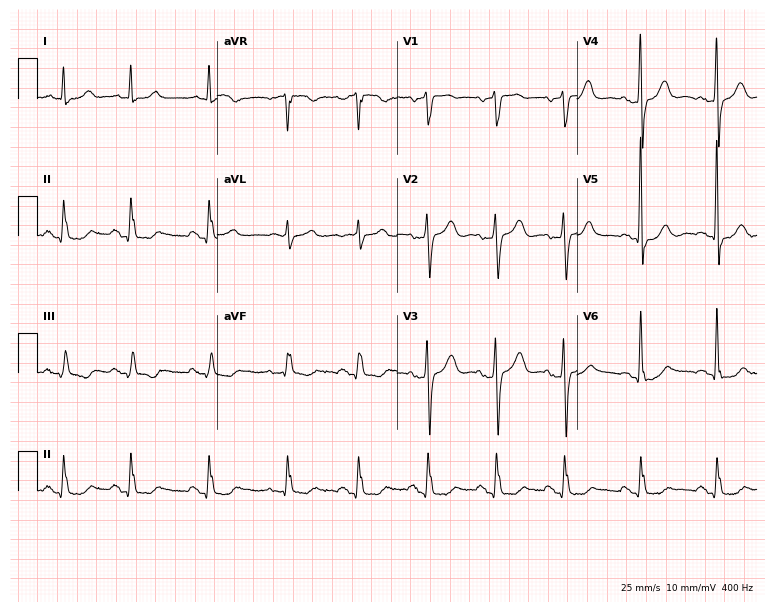
Electrocardiogram (7.3-second recording at 400 Hz), a male patient, 72 years old. Of the six screened findings (first-degree AV block, right bundle branch block, left bundle branch block, sinus bradycardia, atrial fibrillation, sinus tachycardia), none is recorded.